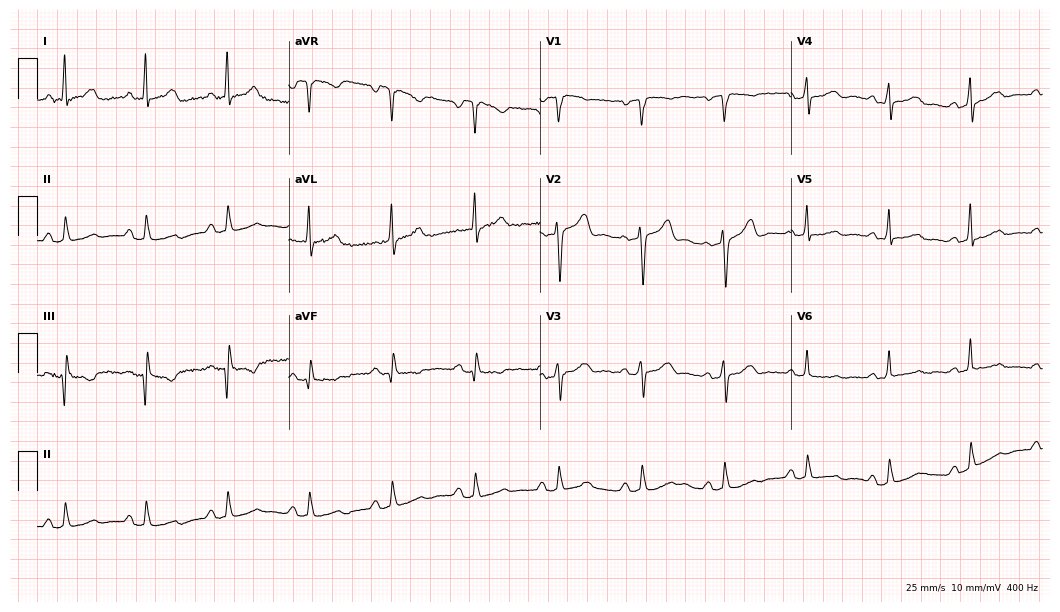
12-lead ECG from a female patient, 57 years old (10.2-second recording at 400 Hz). Recorded interpretation: within normal limits.